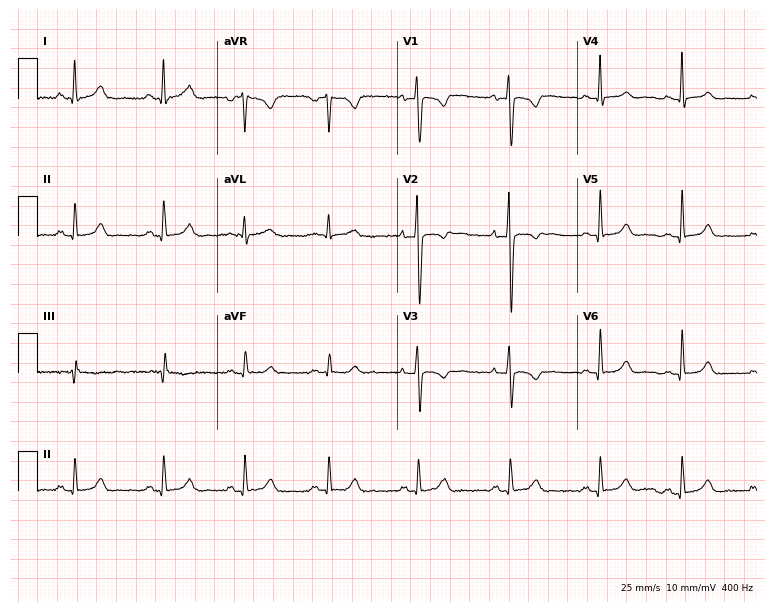
Resting 12-lead electrocardiogram. Patient: a female, 23 years old. Read as a normal ECG.